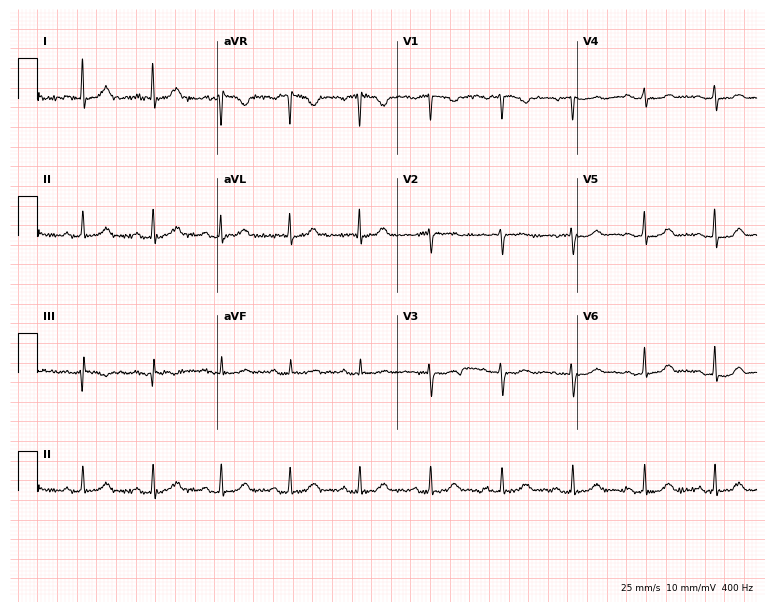
ECG (7.3-second recording at 400 Hz) — a female, 72 years old. Labelled as a normal ECG.